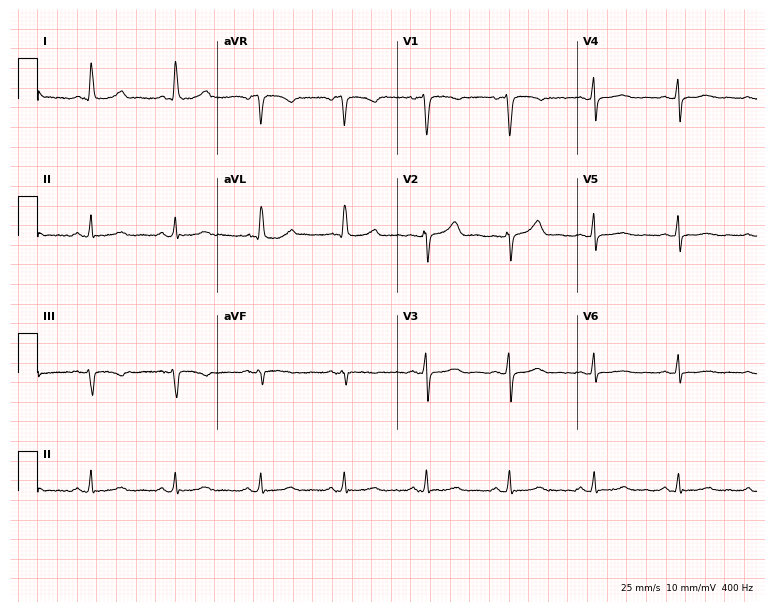
12-lead ECG from a 47-year-old female. Recorded interpretation: within normal limits.